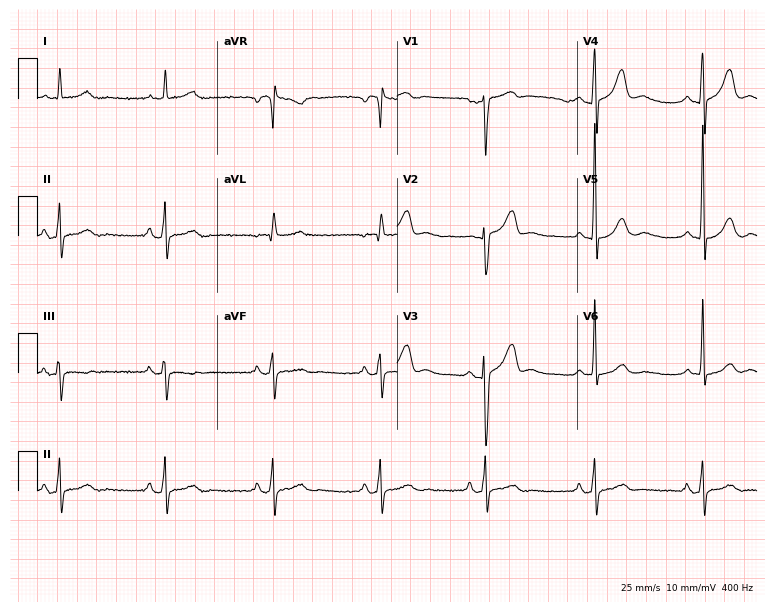
12-lead ECG from a 74-year-old male (7.3-second recording at 400 Hz). Recorded interpretation: within normal limits.